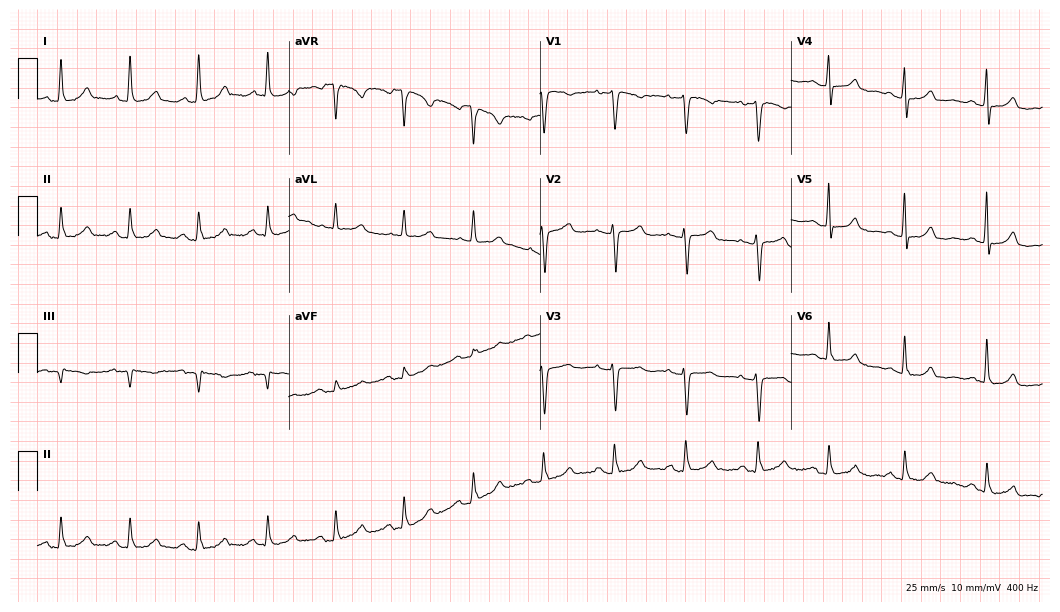
Resting 12-lead electrocardiogram. Patient: a female, 64 years old. Read as a normal ECG.